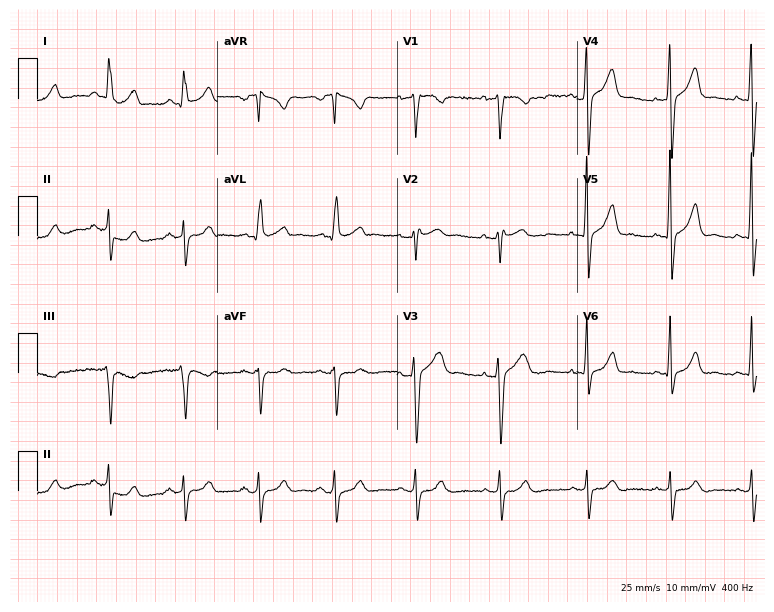
12-lead ECG from a 31-year-old female patient. Labelled as a normal ECG.